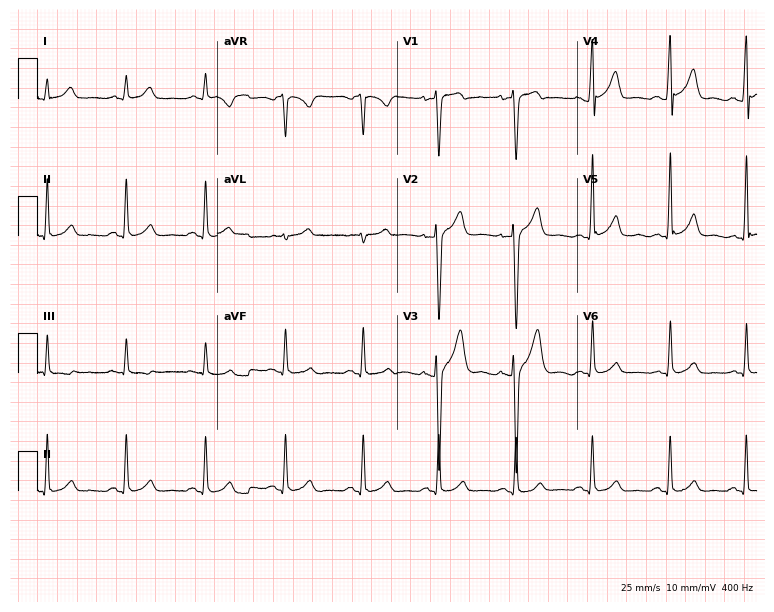
ECG — a man, 29 years old. Labelled as a normal ECG.